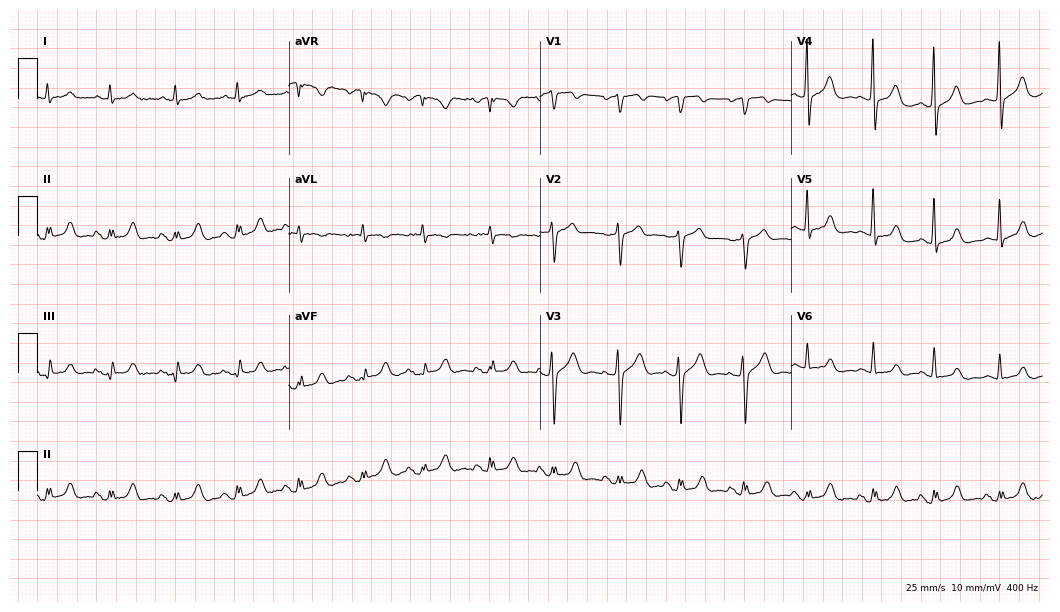
12-lead ECG from a 71-year-old male. Recorded interpretation: within normal limits.